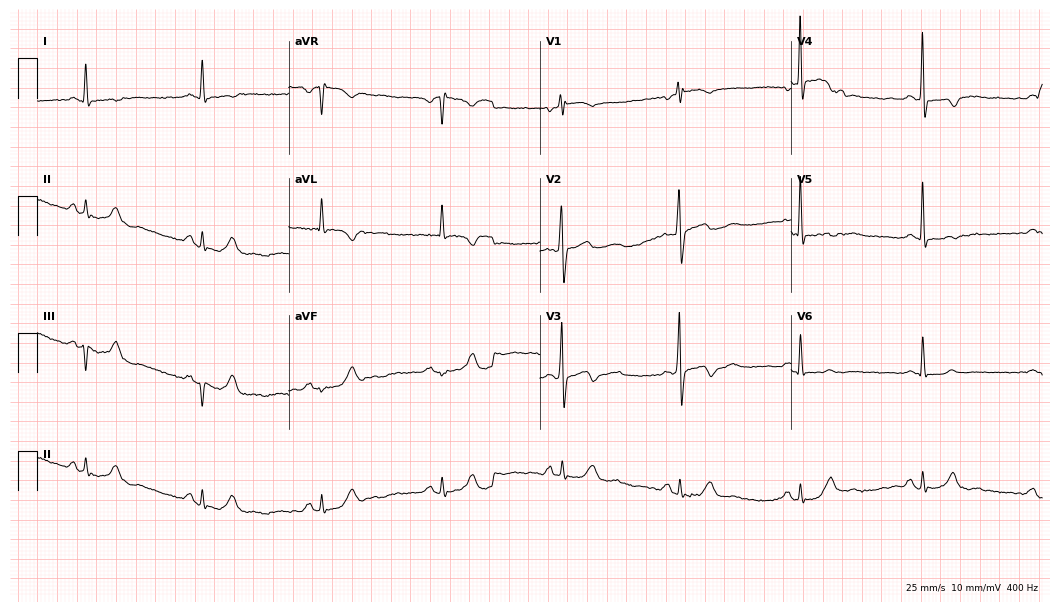
Resting 12-lead electrocardiogram (10.2-second recording at 400 Hz). Patient: a 63-year-old female. None of these six findings is recorded: first-degree AV block, right bundle branch block, left bundle branch block, sinus bradycardia, atrial fibrillation, sinus tachycardia. Findings outside these six are not listed.